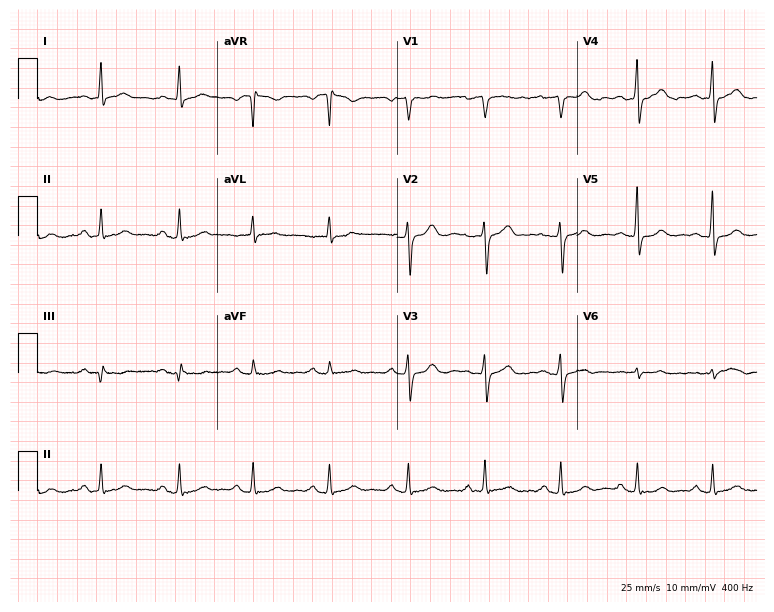
12-lead ECG from a 67-year-old female patient (7.3-second recording at 400 Hz). Recorded interpretation: within normal limits.